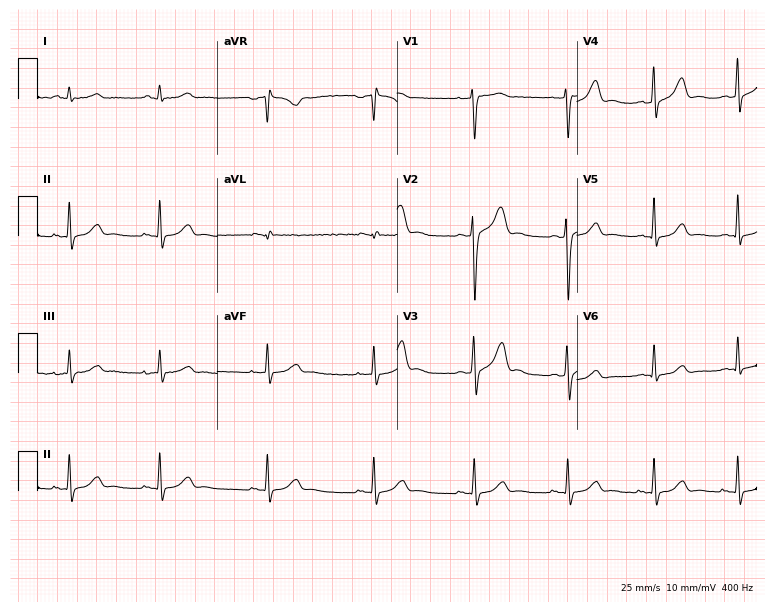
Standard 12-lead ECG recorded from a man, 26 years old (7.3-second recording at 400 Hz). None of these six findings is recorded: first-degree AV block, right bundle branch block (RBBB), left bundle branch block (LBBB), sinus bradycardia, atrial fibrillation (AF), sinus tachycardia. Other findings, if any, are not listed.